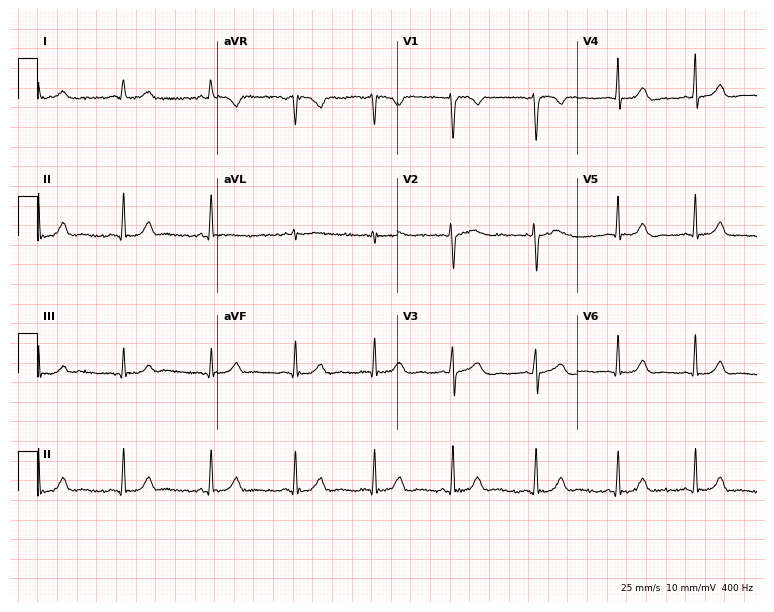
Electrocardiogram (7.3-second recording at 400 Hz), a female patient, 30 years old. Overall reading on record: normal ECG.